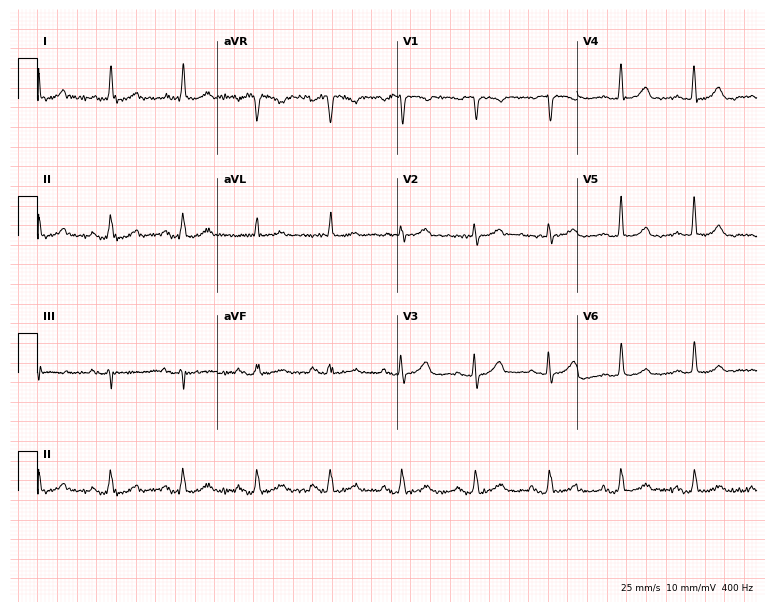
Standard 12-lead ECG recorded from an 80-year-old female patient (7.3-second recording at 400 Hz). Read as a normal ECG.